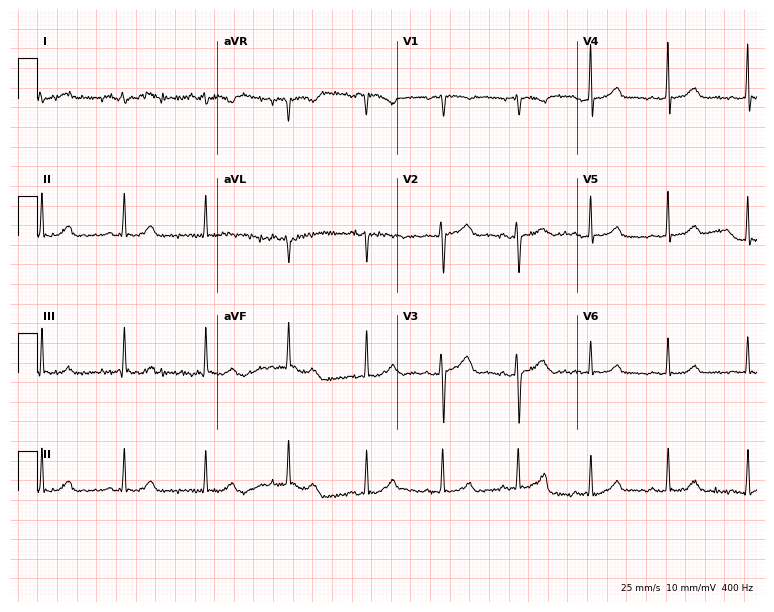
Standard 12-lead ECG recorded from a 23-year-old female. None of these six findings is recorded: first-degree AV block, right bundle branch block, left bundle branch block, sinus bradycardia, atrial fibrillation, sinus tachycardia.